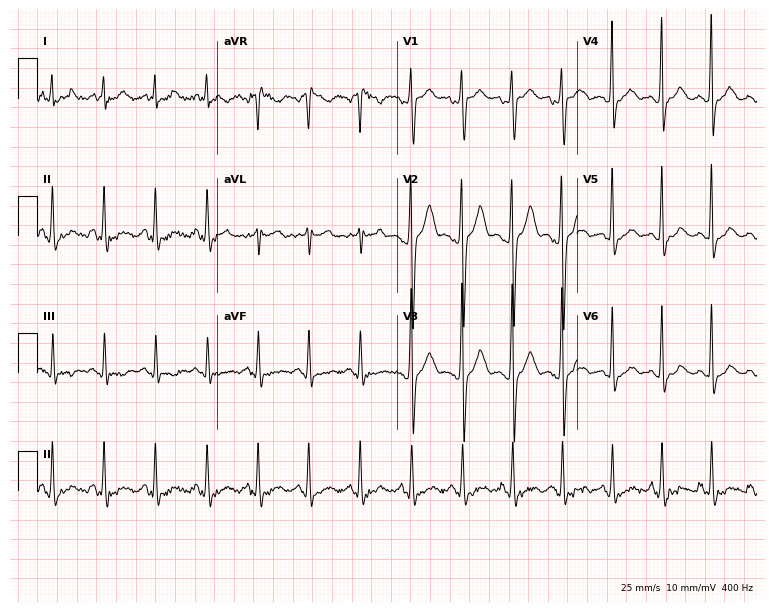
Electrocardiogram, a male, 23 years old. Interpretation includes sinus tachycardia (a sinus rate of 100 beats per minute or more).